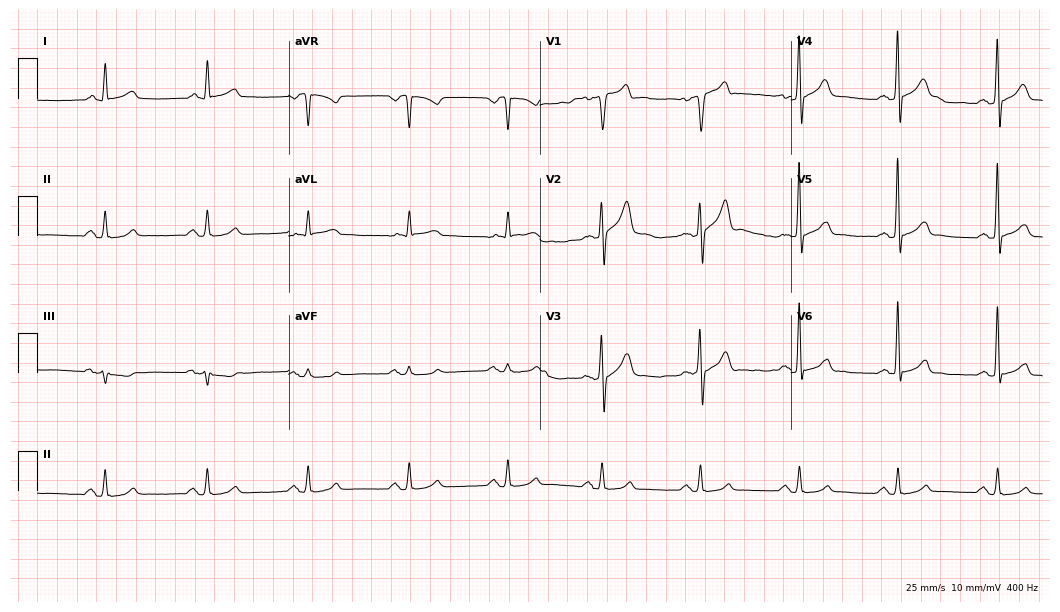
Electrocardiogram (10.2-second recording at 400 Hz), a male patient, 61 years old. Of the six screened findings (first-degree AV block, right bundle branch block (RBBB), left bundle branch block (LBBB), sinus bradycardia, atrial fibrillation (AF), sinus tachycardia), none is recorded. Findings outside these six are not listed.